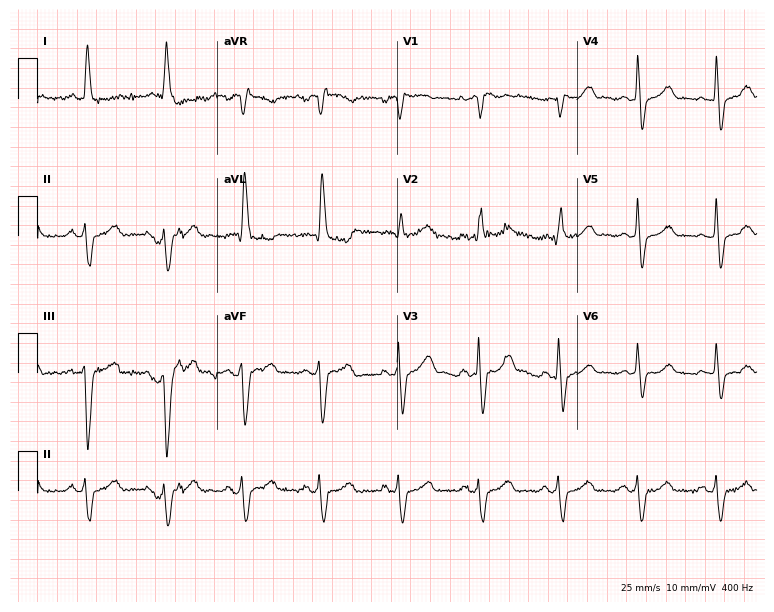
12-lead ECG (7.3-second recording at 400 Hz) from a male, 72 years old. Screened for six findings — first-degree AV block, right bundle branch block, left bundle branch block, sinus bradycardia, atrial fibrillation, sinus tachycardia — none is recorded. Findings outside these six are not listed.